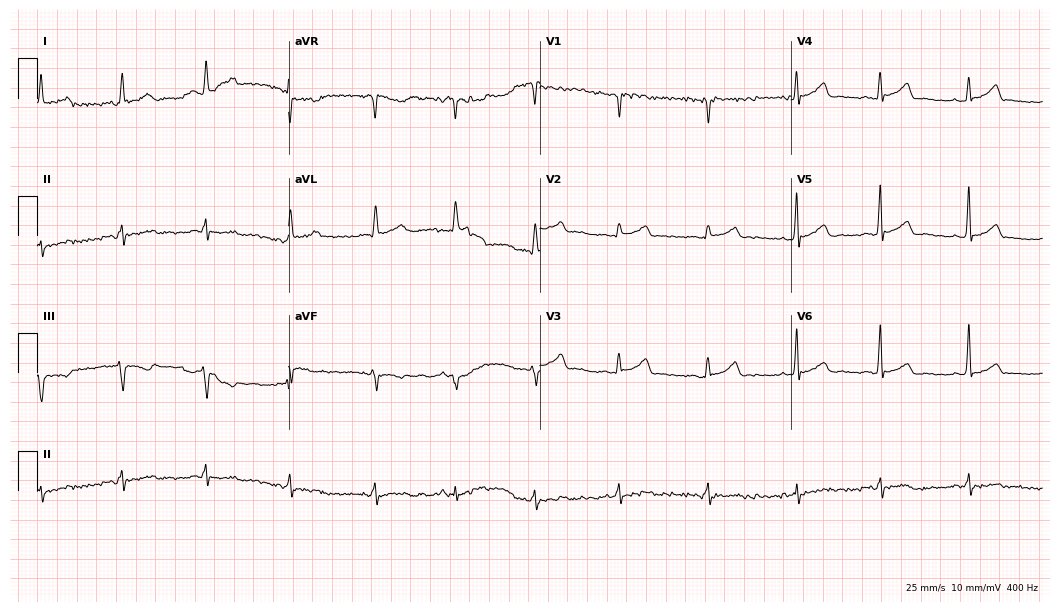
12-lead ECG (10.2-second recording at 400 Hz) from a female patient, 47 years old. Screened for six findings — first-degree AV block, right bundle branch block, left bundle branch block, sinus bradycardia, atrial fibrillation, sinus tachycardia — none is recorded.